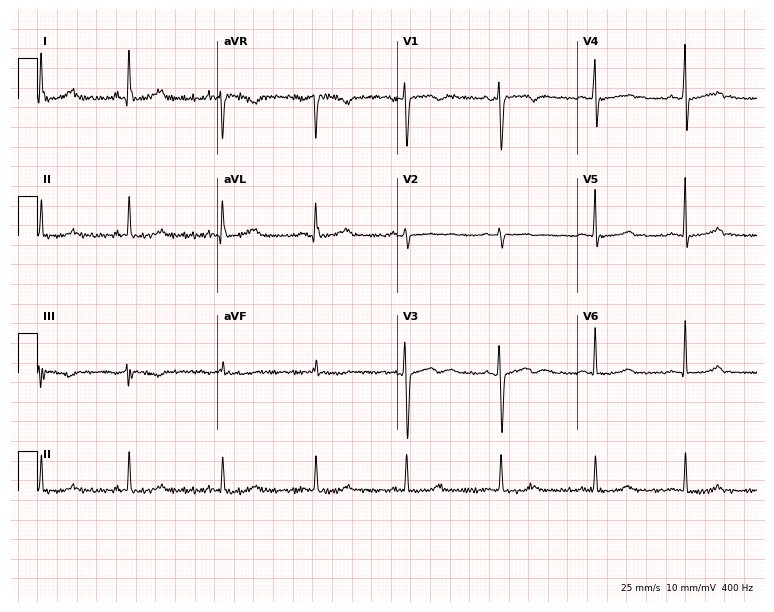
ECG (7.3-second recording at 400 Hz) — a 40-year-old woman. Labelled as a normal ECG.